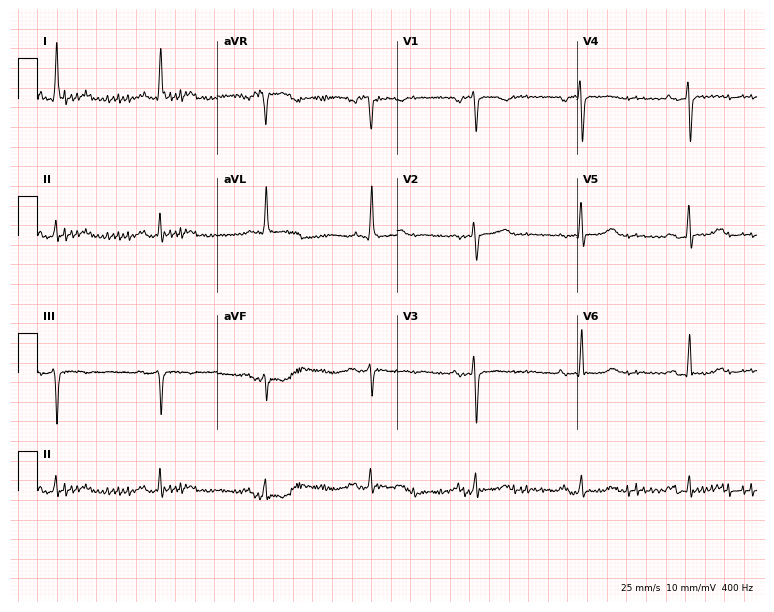
Resting 12-lead electrocardiogram. Patient: a female, 81 years old. None of these six findings is recorded: first-degree AV block, right bundle branch block, left bundle branch block, sinus bradycardia, atrial fibrillation, sinus tachycardia. Only these six findings were labelled.